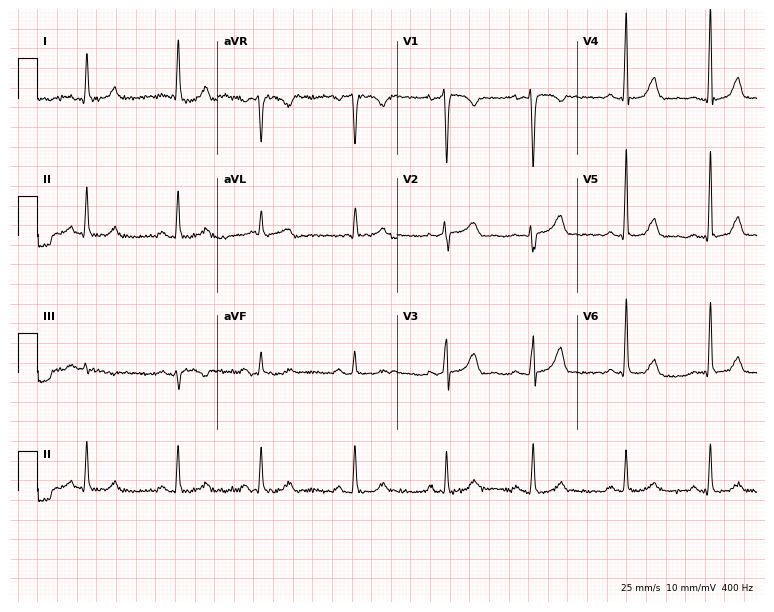
Electrocardiogram (7.3-second recording at 400 Hz), a female, 40 years old. Of the six screened findings (first-degree AV block, right bundle branch block, left bundle branch block, sinus bradycardia, atrial fibrillation, sinus tachycardia), none is recorded.